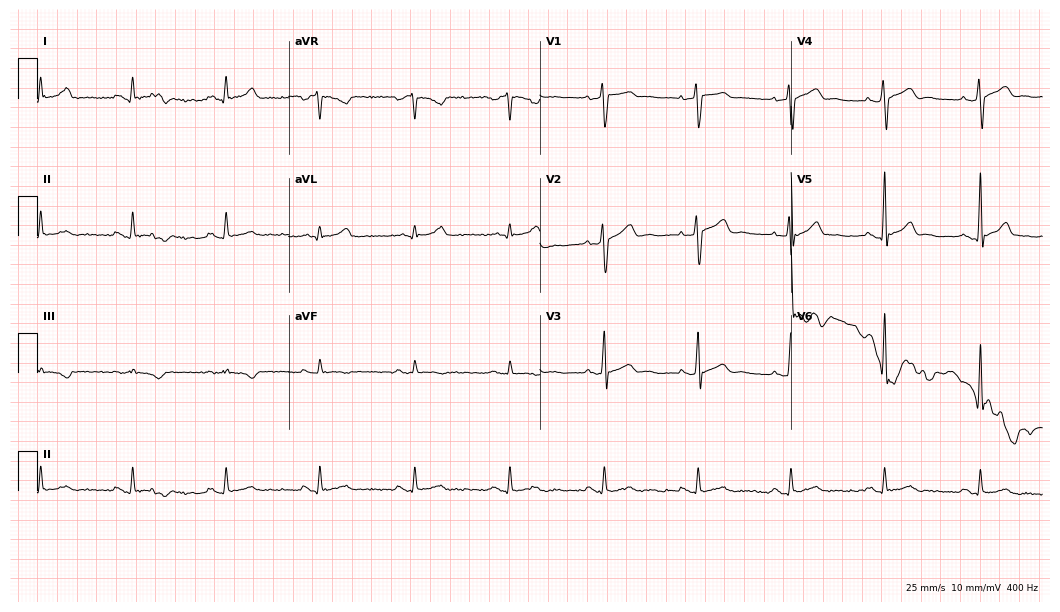
ECG (10.2-second recording at 400 Hz) — a 52-year-old male. Labelled as a normal ECG.